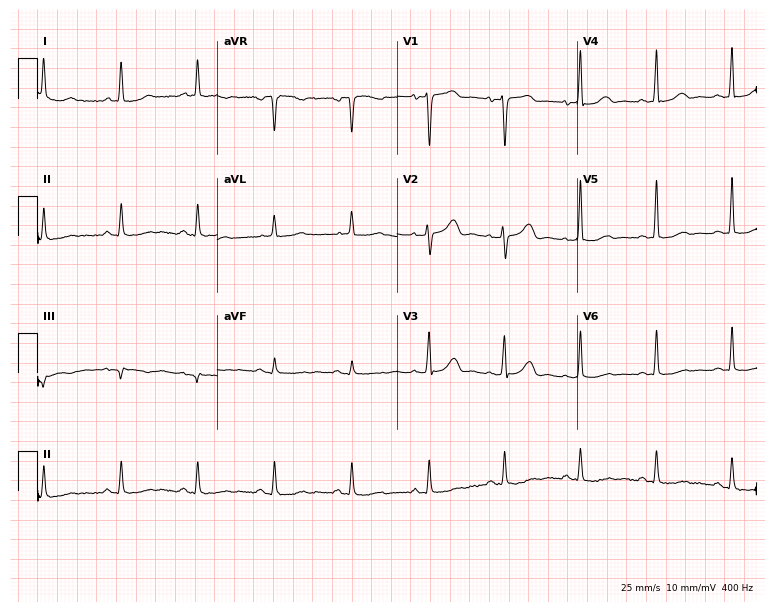
Resting 12-lead electrocardiogram (7.3-second recording at 400 Hz). Patient: a 62-year-old woman. None of these six findings is recorded: first-degree AV block, right bundle branch block (RBBB), left bundle branch block (LBBB), sinus bradycardia, atrial fibrillation (AF), sinus tachycardia.